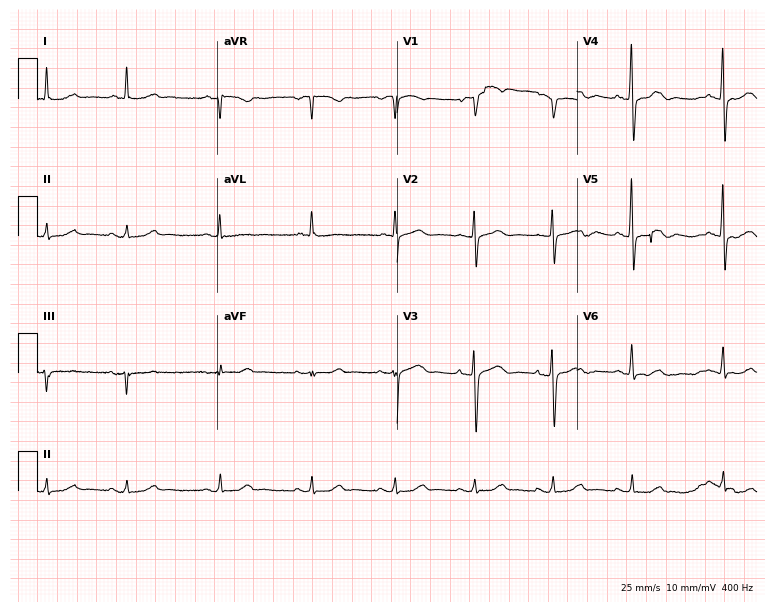
12-lead ECG (7.3-second recording at 400 Hz) from an 83-year-old woman. Labelled as a normal ECG.